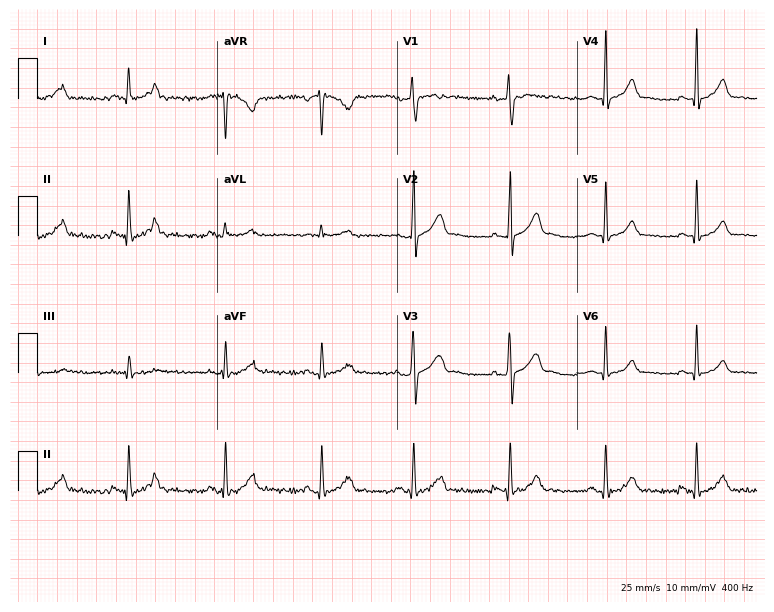
Standard 12-lead ECG recorded from a 30-year-old female patient (7.3-second recording at 400 Hz). Read as a normal ECG.